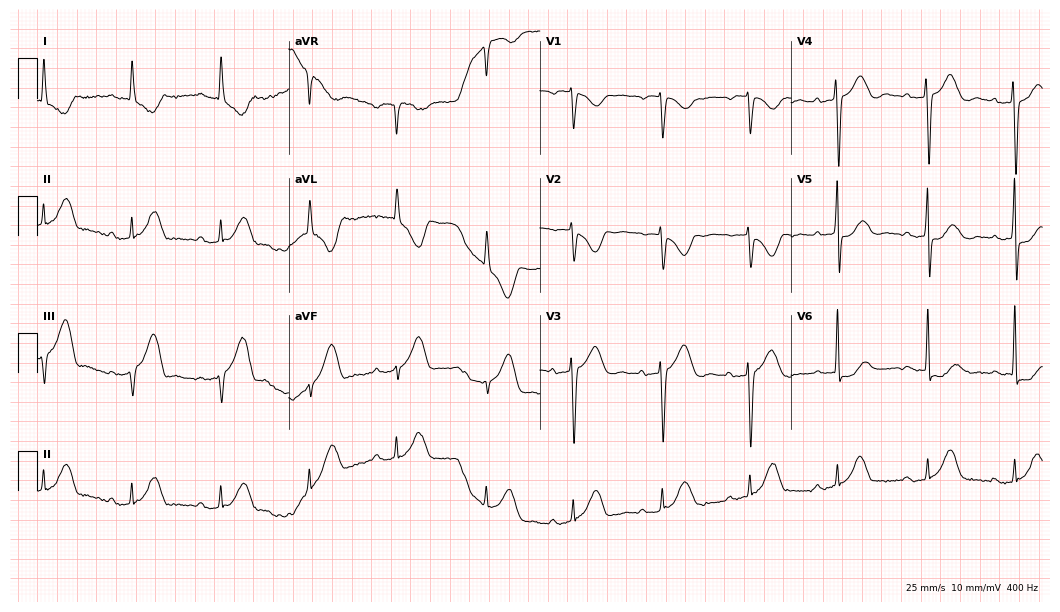
Resting 12-lead electrocardiogram. Patient: a 78-year-old female. None of these six findings is recorded: first-degree AV block, right bundle branch block, left bundle branch block, sinus bradycardia, atrial fibrillation, sinus tachycardia. Only these six findings were labelled.